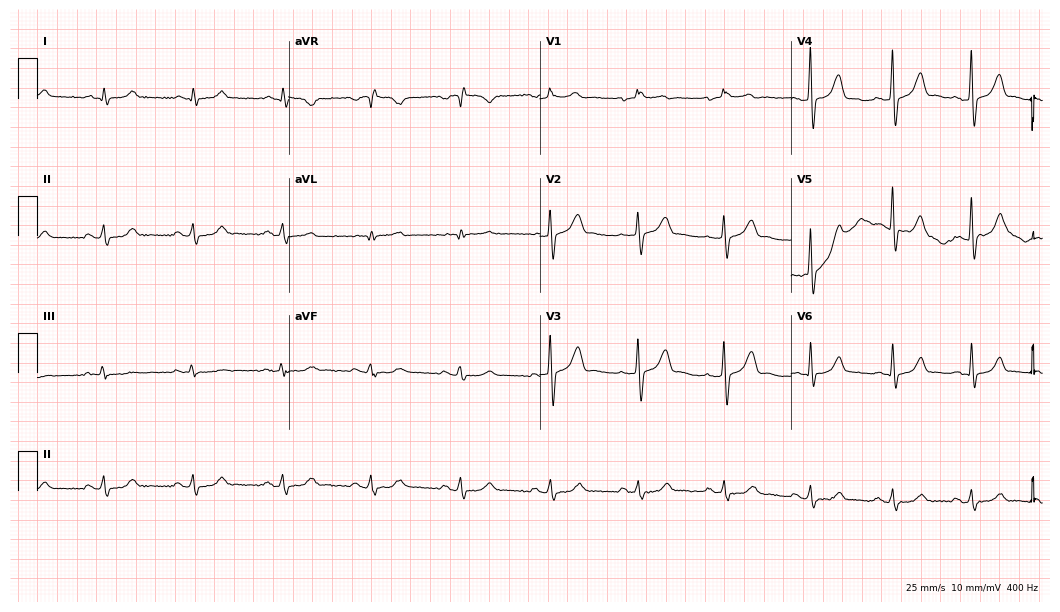
Standard 12-lead ECG recorded from a 56-year-old man (10.2-second recording at 400 Hz). Read as a normal ECG.